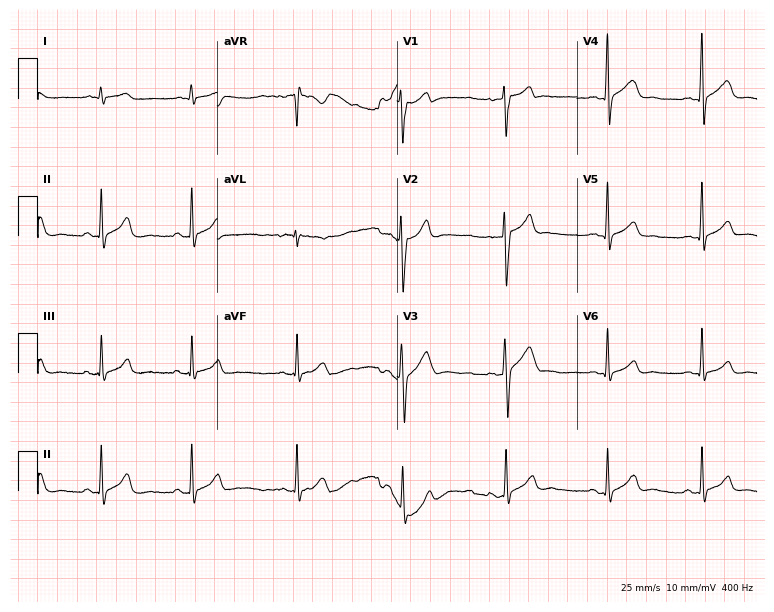
Standard 12-lead ECG recorded from a 25-year-old male. Read as a normal ECG.